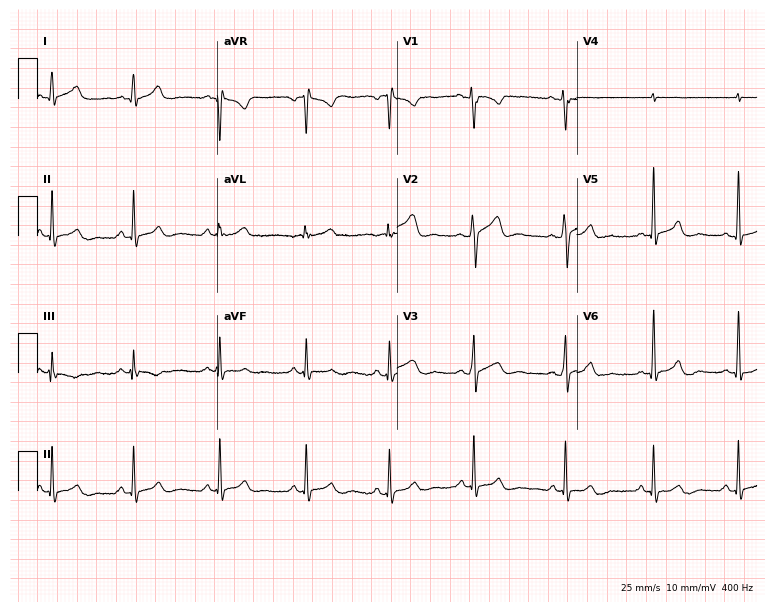
Resting 12-lead electrocardiogram (7.3-second recording at 400 Hz). Patient: a male, 30 years old. Read as a normal ECG.